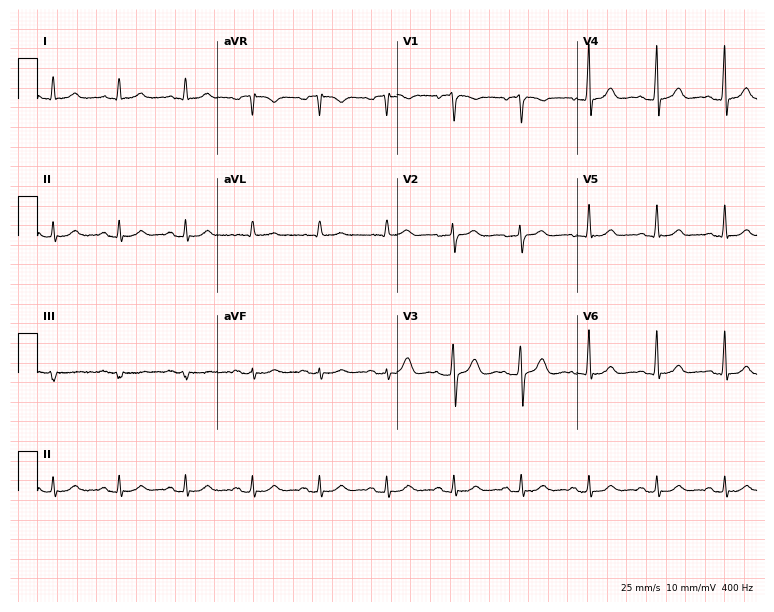
ECG (7.3-second recording at 400 Hz) — a male patient, 49 years old. Labelled as a normal ECG.